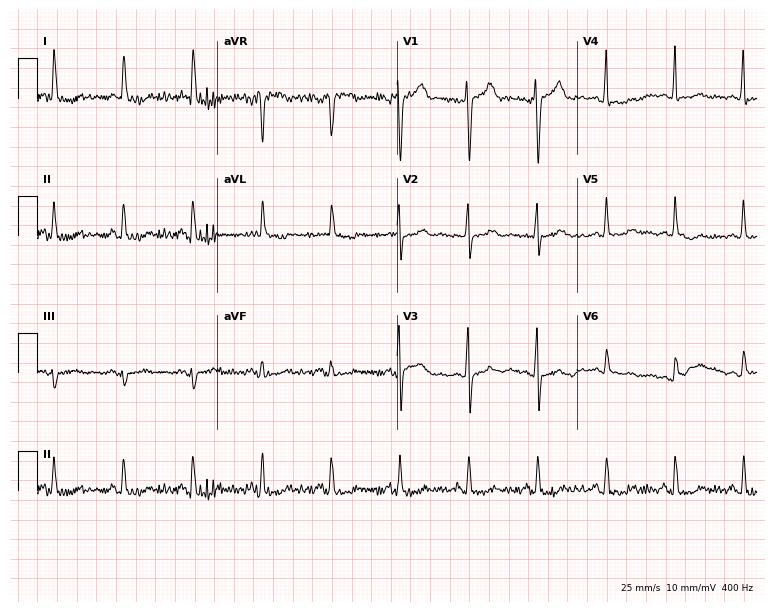
12-lead ECG from a woman, 69 years old. Screened for six findings — first-degree AV block, right bundle branch block, left bundle branch block, sinus bradycardia, atrial fibrillation, sinus tachycardia — none is recorded.